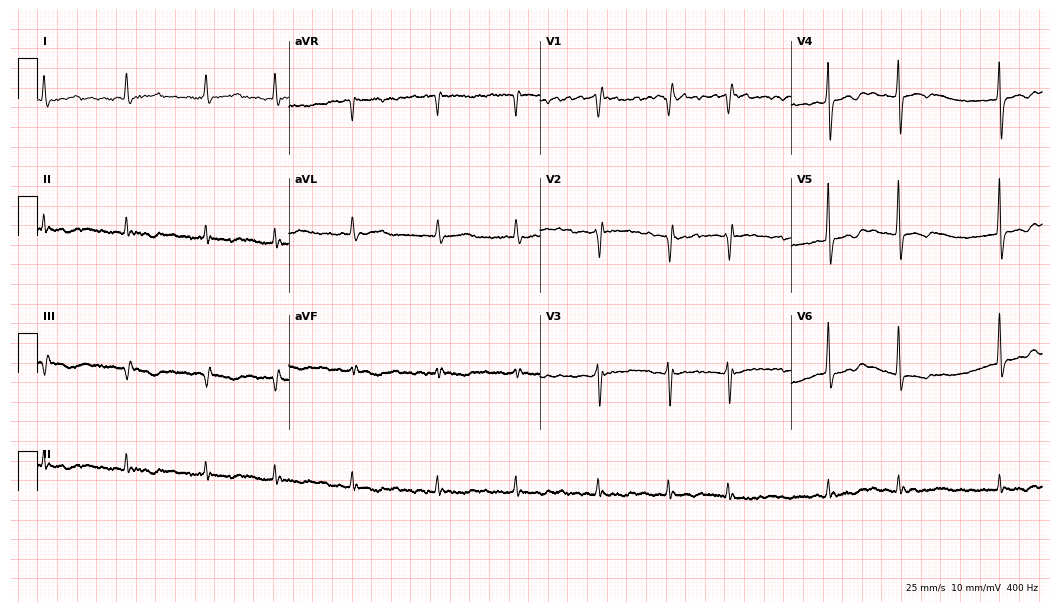
Electrocardiogram, a woman, 79 years old. Interpretation includes atrial fibrillation.